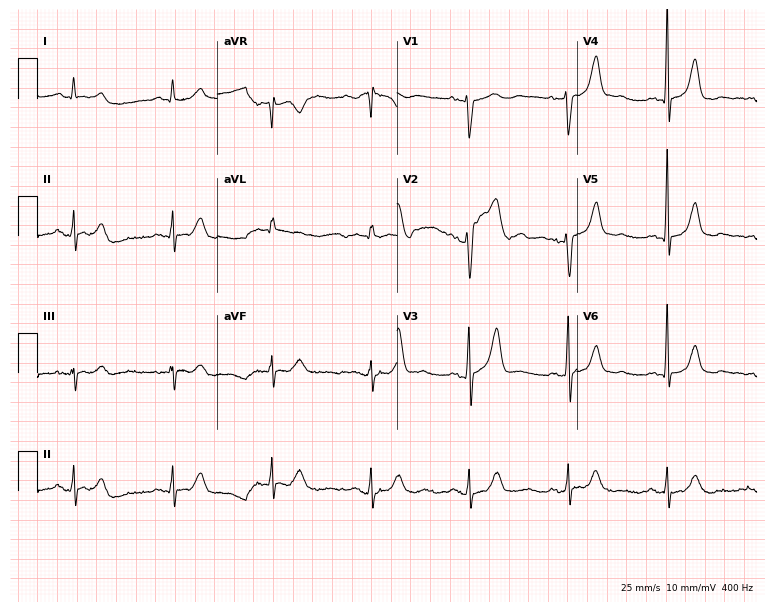
Resting 12-lead electrocardiogram. Patient: a man, 83 years old. Read as a normal ECG.